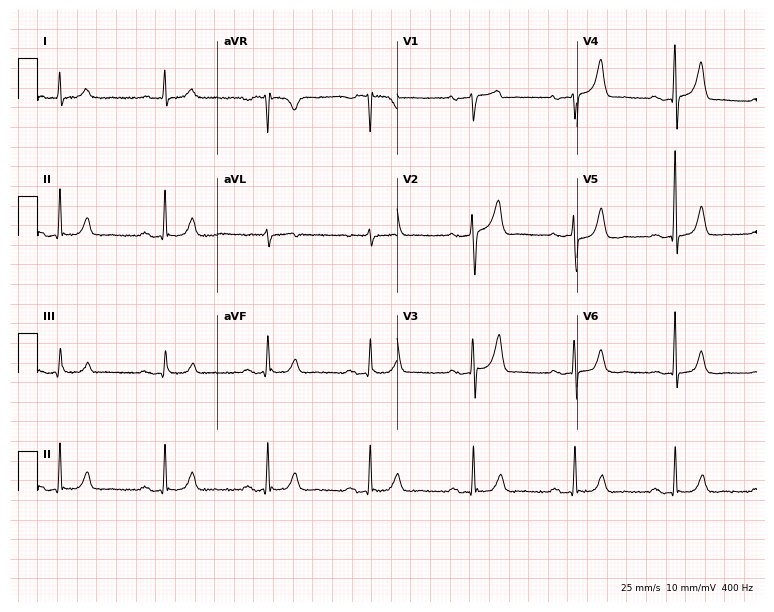
12-lead ECG from a male patient, 69 years old (7.3-second recording at 400 Hz). No first-degree AV block, right bundle branch block (RBBB), left bundle branch block (LBBB), sinus bradycardia, atrial fibrillation (AF) or sinus tachycardia recorded for this tracing. Findings outside these six are not listed.